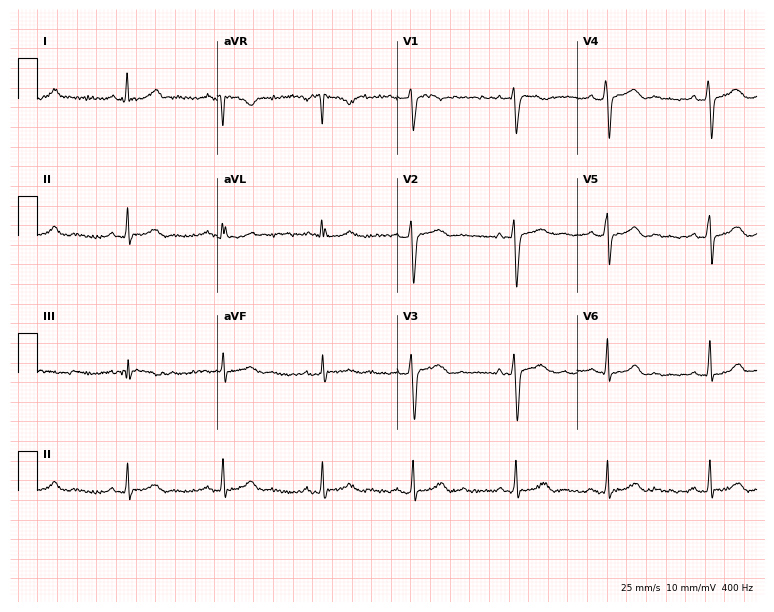
12-lead ECG (7.3-second recording at 400 Hz) from a female patient, 43 years old. Labelled as a normal ECG.